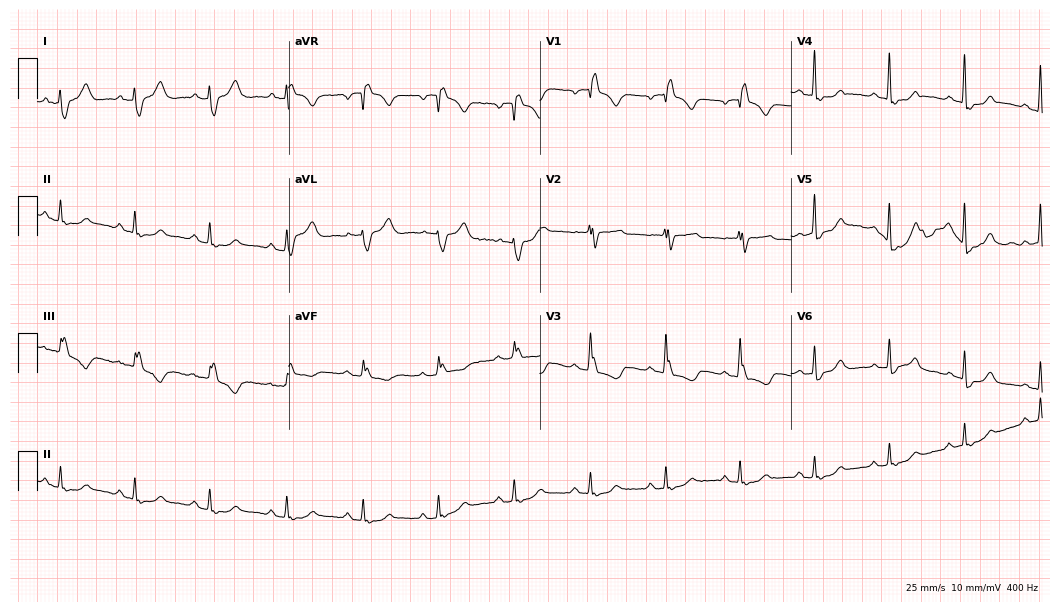
ECG — a 52-year-old female patient. Screened for six findings — first-degree AV block, right bundle branch block (RBBB), left bundle branch block (LBBB), sinus bradycardia, atrial fibrillation (AF), sinus tachycardia — none is recorded.